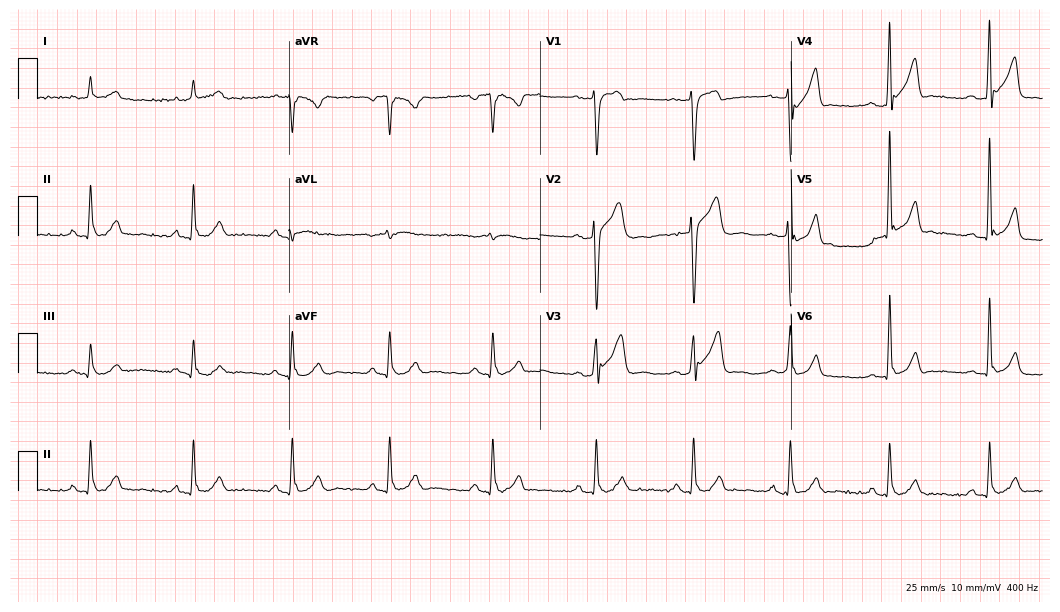
Resting 12-lead electrocardiogram. Patient: a man, 60 years old. None of these six findings is recorded: first-degree AV block, right bundle branch block, left bundle branch block, sinus bradycardia, atrial fibrillation, sinus tachycardia.